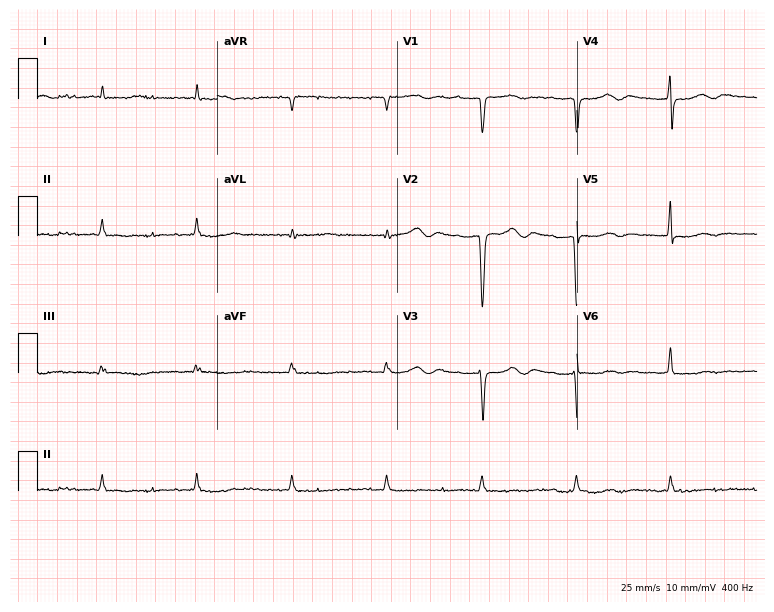
Resting 12-lead electrocardiogram. Patient: an 84-year-old female. None of these six findings is recorded: first-degree AV block, right bundle branch block (RBBB), left bundle branch block (LBBB), sinus bradycardia, atrial fibrillation (AF), sinus tachycardia.